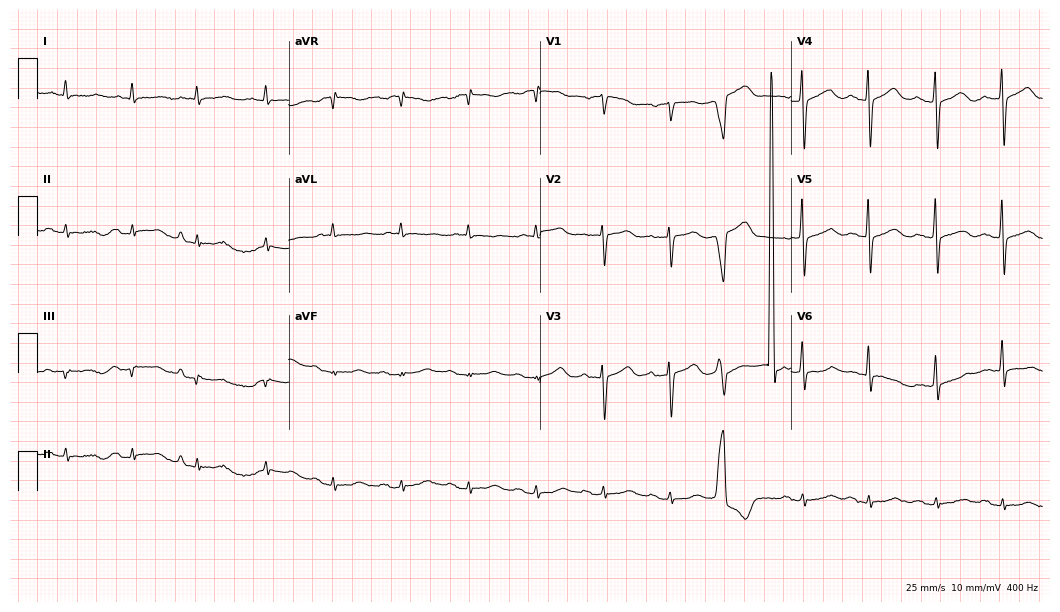
12-lead ECG from a female, 79 years old (10.2-second recording at 400 Hz). No first-degree AV block, right bundle branch block, left bundle branch block, sinus bradycardia, atrial fibrillation or sinus tachycardia recorded for this tracing.